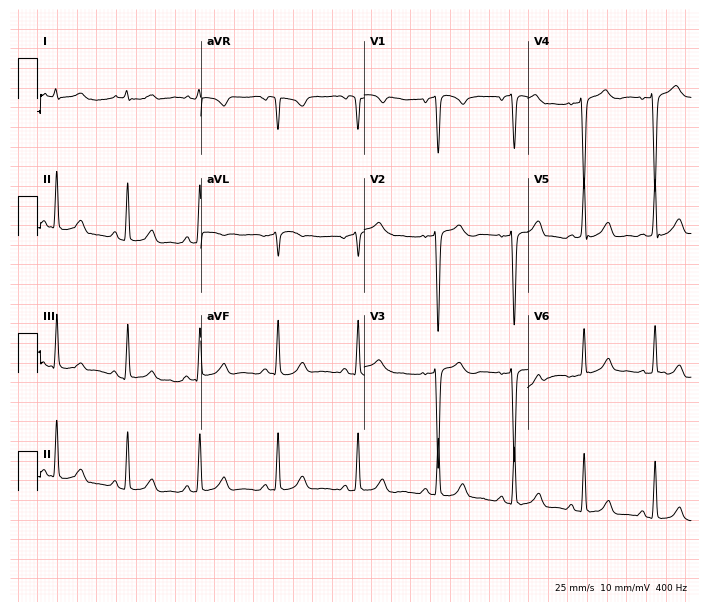
12-lead ECG from an 18-year-old female. Screened for six findings — first-degree AV block, right bundle branch block, left bundle branch block, sinus bradycardia, atrial fibrillation, sinus tachycardia — none is recorded. Findings outside these six are not listed.